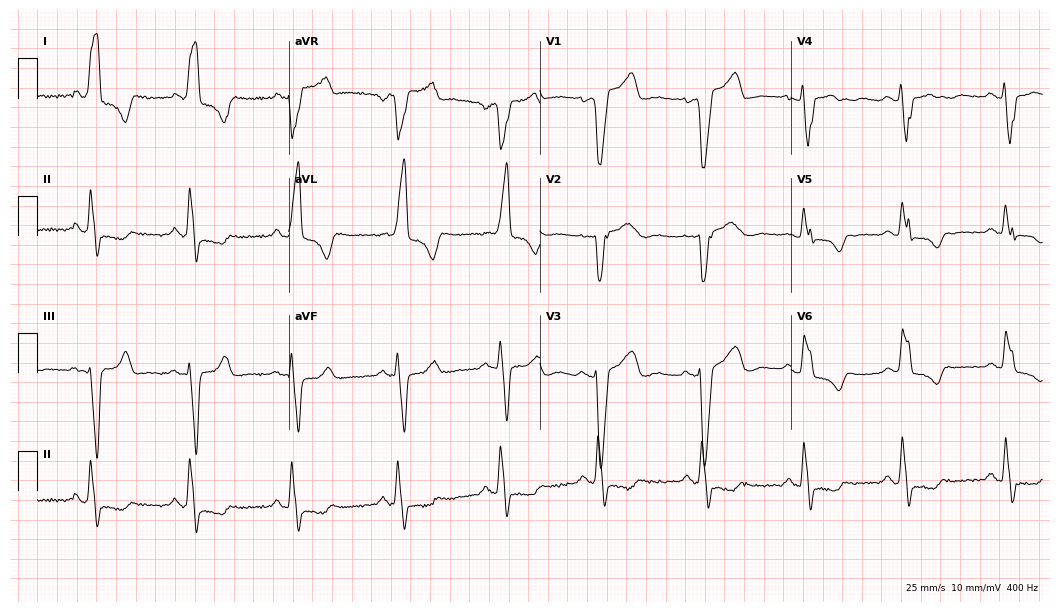
Resting 12-lead electrocardiogram (10.2-second recording at 400 Hz). Patient: a 71-year-old woman. None of these six findings is recorded: first-degree AV block, right bundle branch block, left bundle branch block, sinus bradycardia, atrial fibrillation, sinus tachycardia.